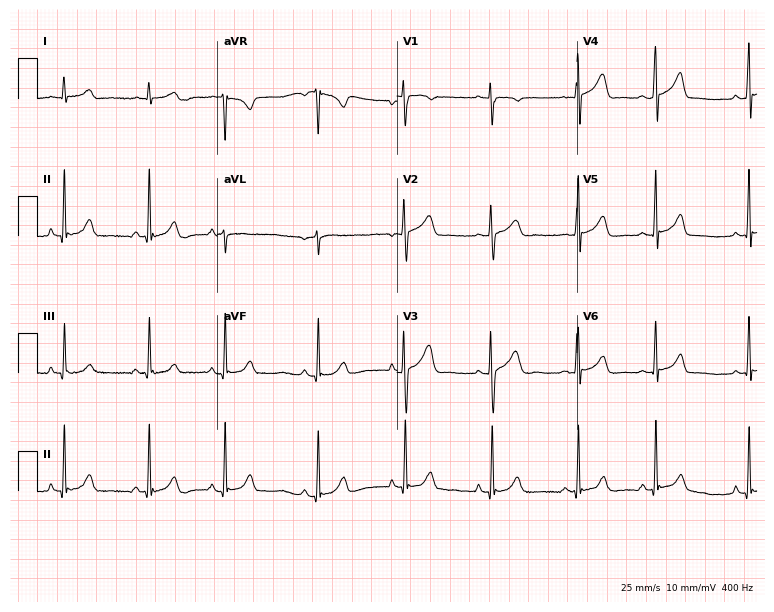
12-lead ECG from a 21-year-old female patient. Screened for six findings — first-degree AV block, right bundle branch block, left bundle branch block, sinus bradycardia, atrial fibrillation, sinus tachycardia — none is recorded. Other findings, if any, are not listed.